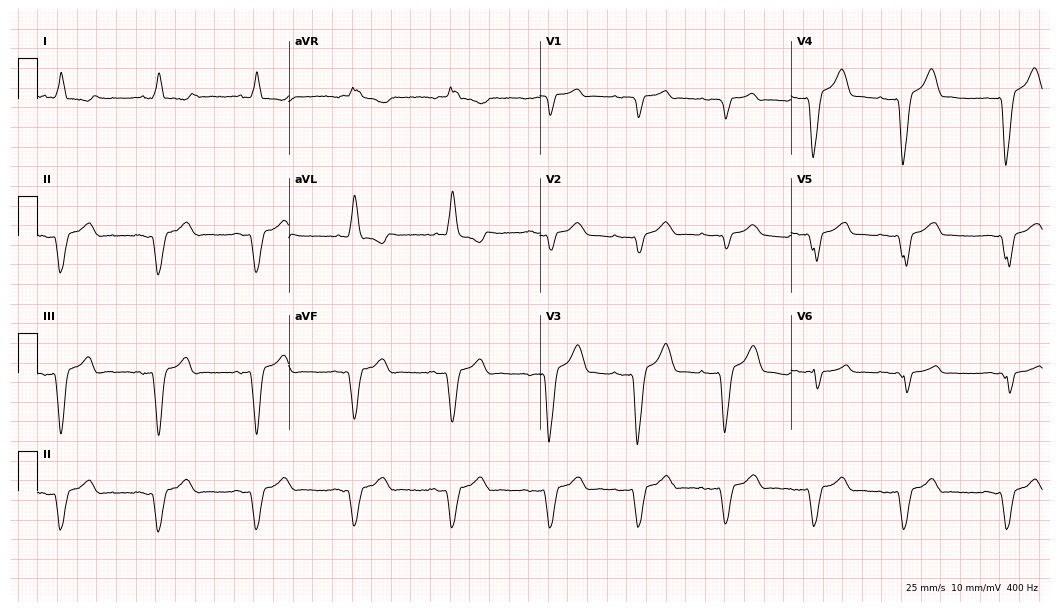
ECG (10.2-second recording at 400 Hz) — a 77-year-old man. Screened for six findings — first-degree AV block, right bundle branch block (RBBB), left bundle branch block (LBBB), sinus bradycardia, atrial fibrillation (AF), sinus tachycardia — none is recorded. Findings outside these six are not listed.